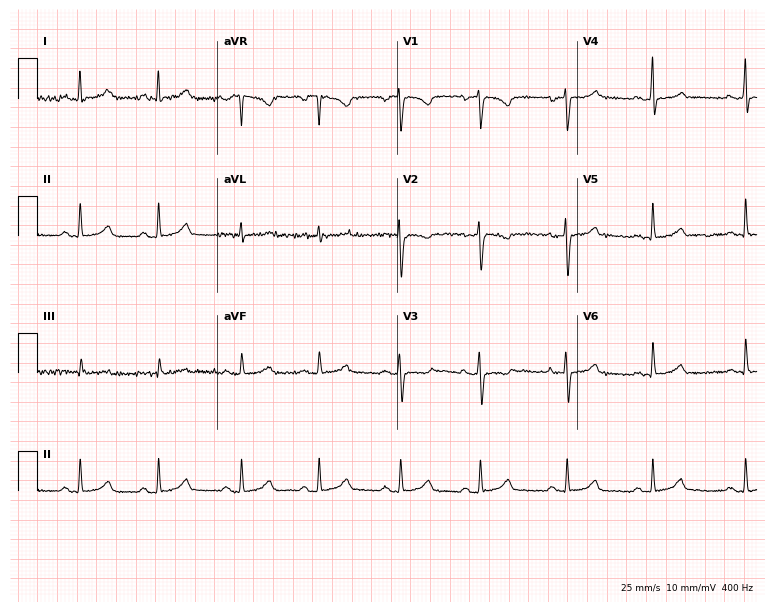
12-lead ECG from a 34-year-old female patient (7.3-second recording at 400 Hz). No first-degree AV block, right bundle branch block, left bundle branch block, sinus bradycardia, atrial fibrillation or sinus tachycardia recorded for this tracing. Findings outside these six are not listed.